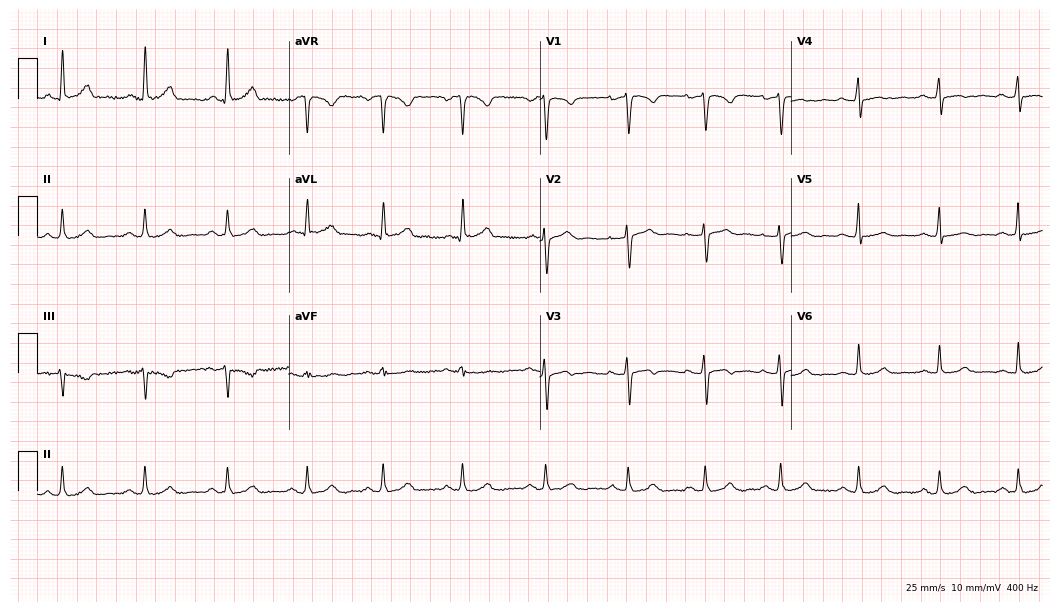
12-lead ECG from a 43-year-old female. No first-degree AV block, right bundle branch block (RBBB), left bundle branch block (LBBB), sinus bradycardia, atrial fibrillation (AF) or sinus tachycardia recorded for this tracing.